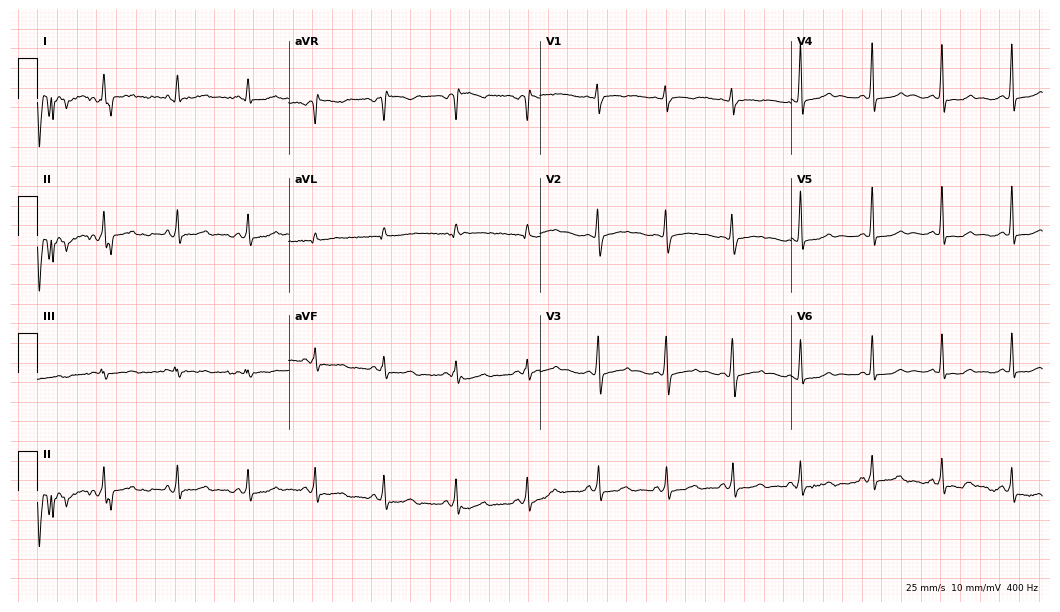
12-lead ECG from a 29-year-old female (10.2-second recording at 400 Hz). No first-degree AV block, right bundle branch block, left bundle branch block, sinus bradycardia, atrial fibrillation or sinus tachycardia recorded for this tracing.